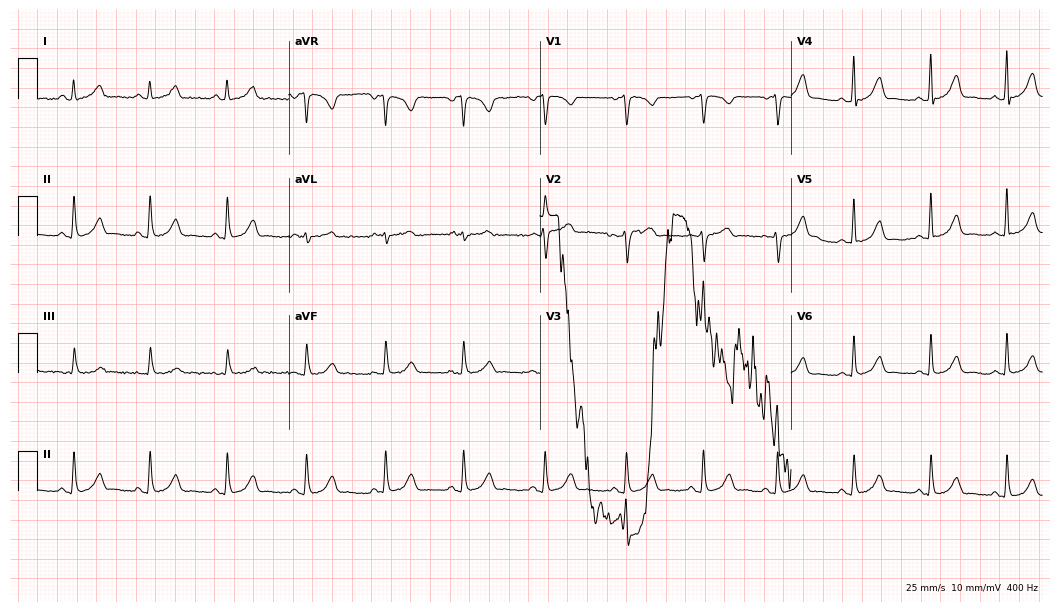
Resting 12-lead electrocardiogram (10.2-second recording at 400 Hz). Patient: a 25-year-old woman. Read as a normal ECG.